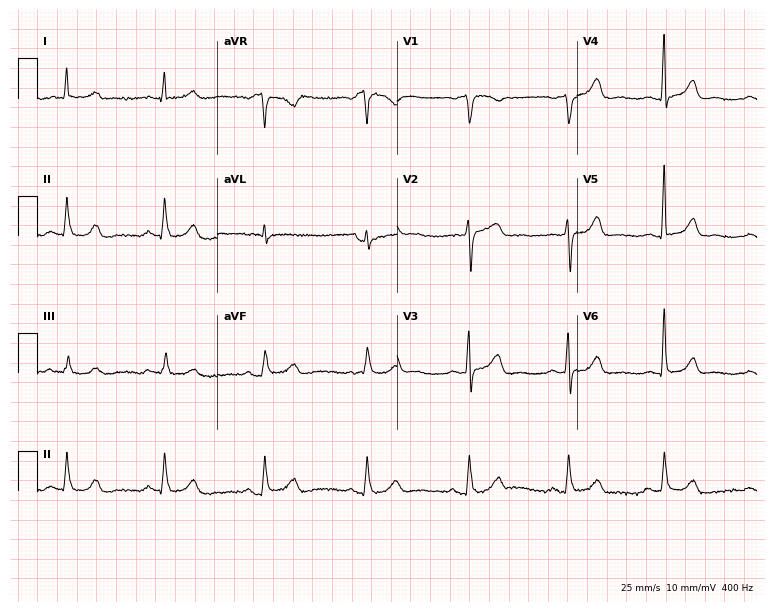
ECG — a male patient, 68 years old. Screened for six findings — first-degree AV block, right bundle branch block, left bundle branch block, sinus bradycardia, atrial fibrillation, sinus tachycardia — none is recorded.